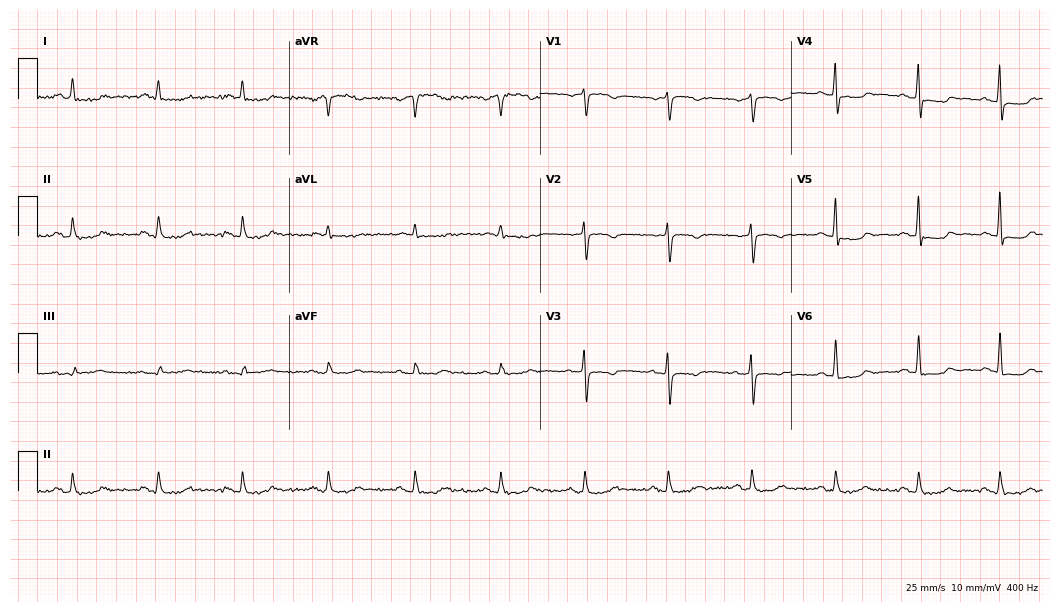
12-lead ECG from a man, 78 years old. Screened for six findings — first-degree AV block, right bundle branch block, left bundle branch block, sinus bradycardia, atrial fibrillation, sinus tachycardia — none is recorded.